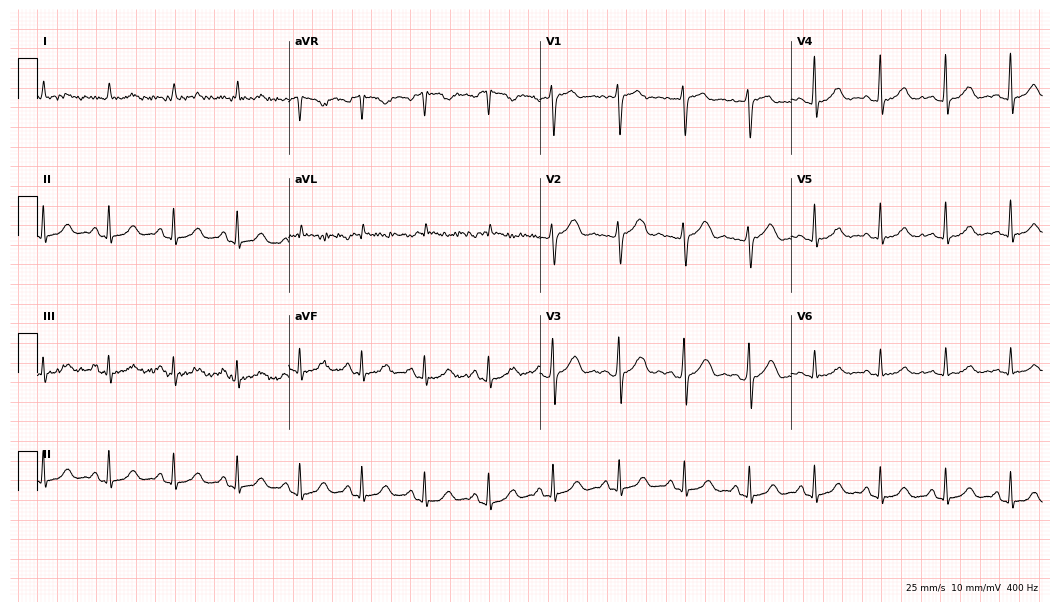
ECG — a female, 47 years old. Labelled as a normal ECG.